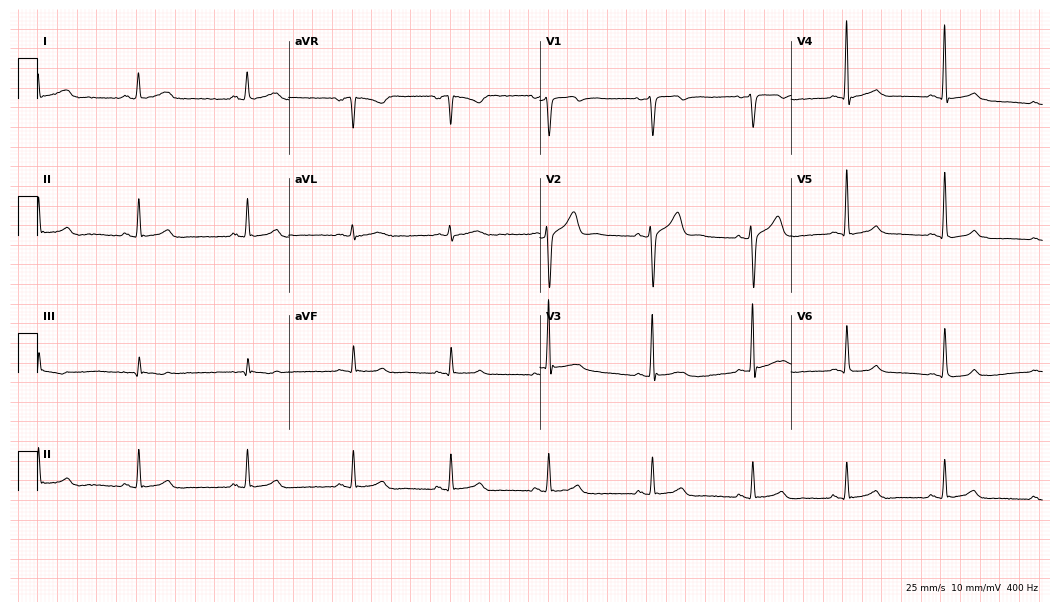
Electrocardiogram (10.2-second recording at 400 Hz), a 29-year-old man. Of the six screened findings (first-degree AV block, right bundle branch block (RBBB), left bundle branch block (LBBB), sinus bradycardia, atrial fibrillation (AF), sinus tachycardia), none is recorded. Only these six findings were labelled.